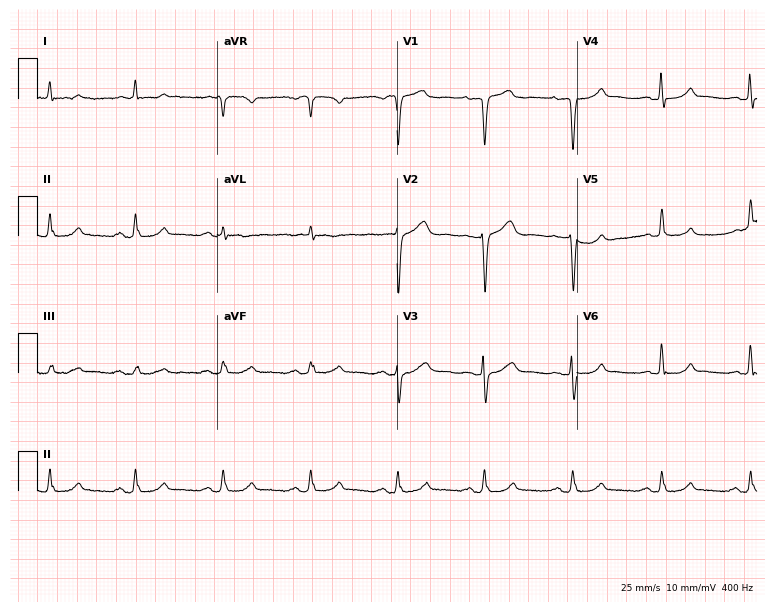
12-lead ECG from a 73-year-old male patient. Screened for six findings — first-degree AV block, right bundle branch block, left bundle branch block, sinus bradycardia, atrial fibrillation, sinus tachycardia — none is recorded. Other findings, if any, are not listed.